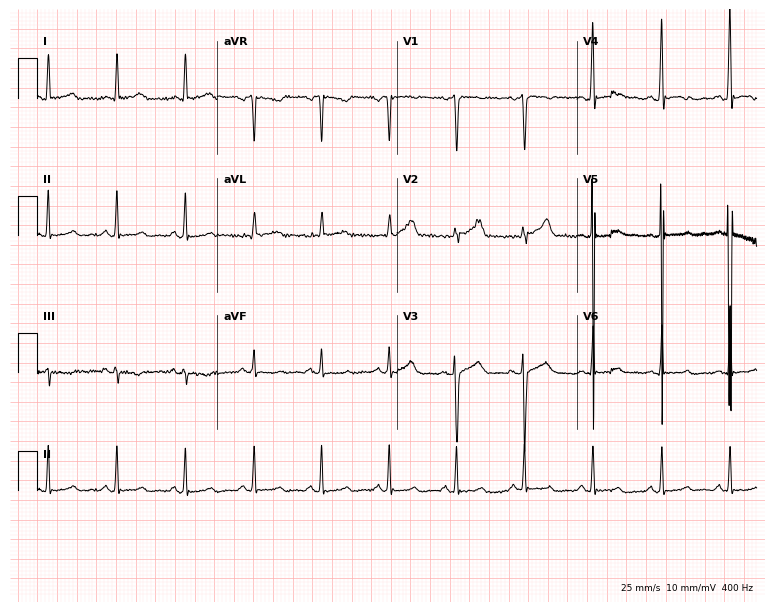
Resting 12-lead electrocardiogram (7.3-second recording at 400 Hz). Patient: a male, 32 years old. Read as a normal ECG.